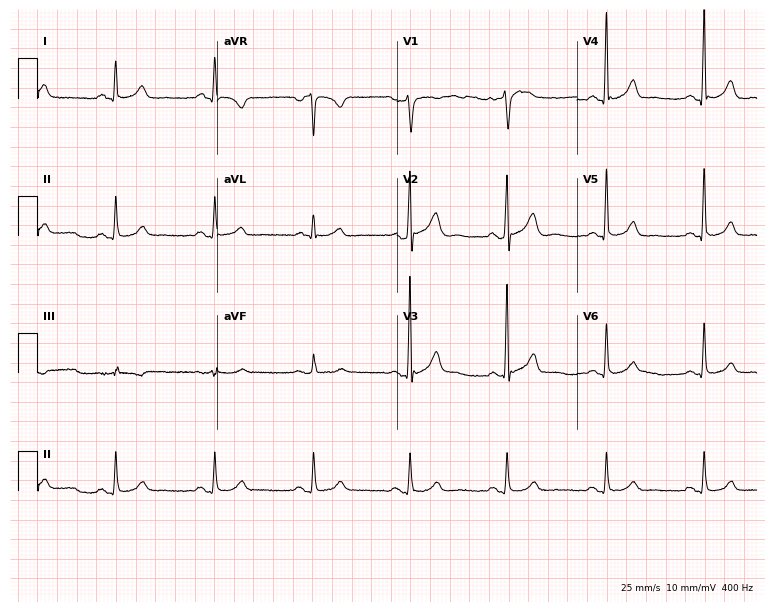
12-lead ECG (7.3-second recording at 400 Hz) from a man, 60 years old. Labelled as a normal ECG.